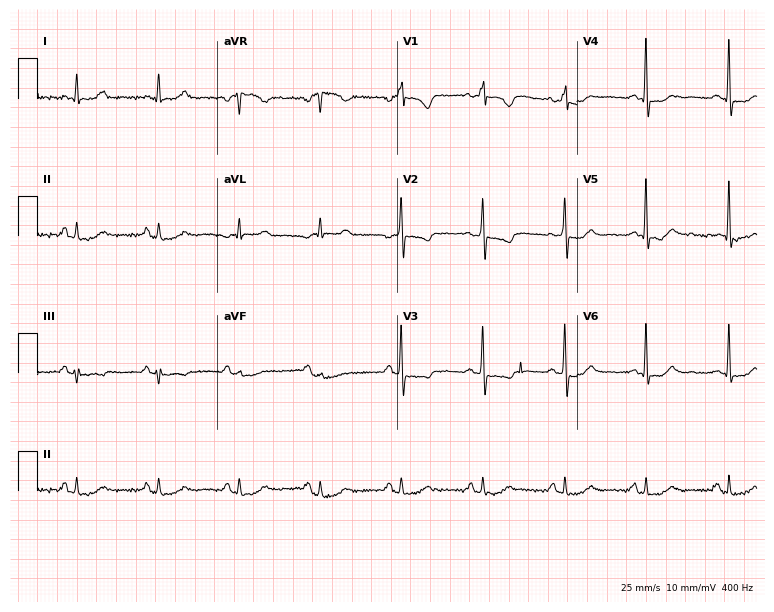
Resting 12-lead electrocardiogram. Patient: a 60-year-old female. Read as a normal ECG.